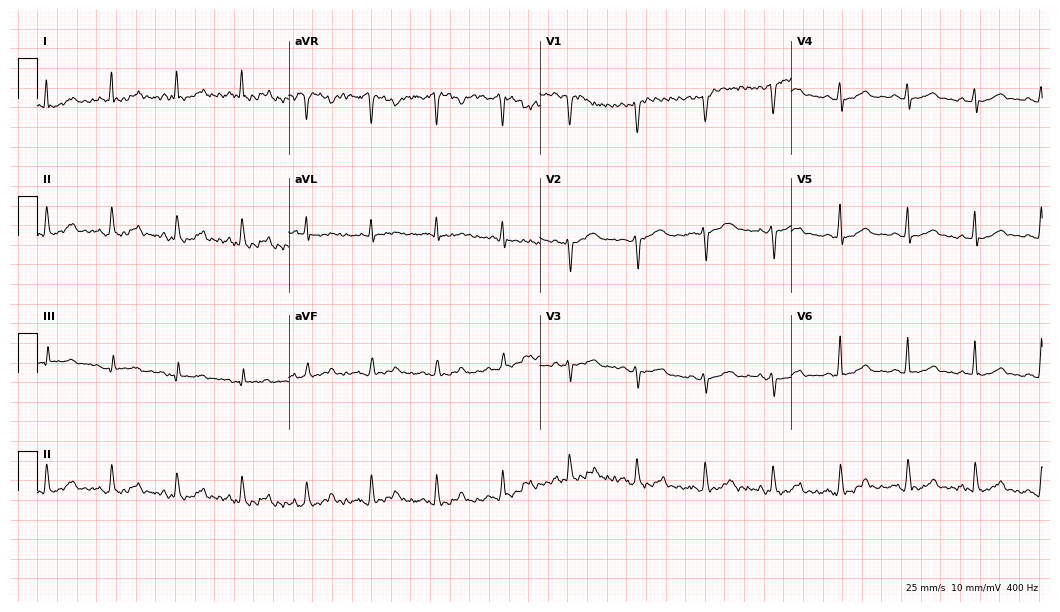
12-lead ECG (10.2-second recording at 400 Hz) from a 51-year-old woman. Screened for six findings — first-degree AV block, right bundle branch block, left bundle branch block, sinus bradycardia, atrial fibrillation, sinus tachycardia — none is recorded. Only these six findings were labelled.